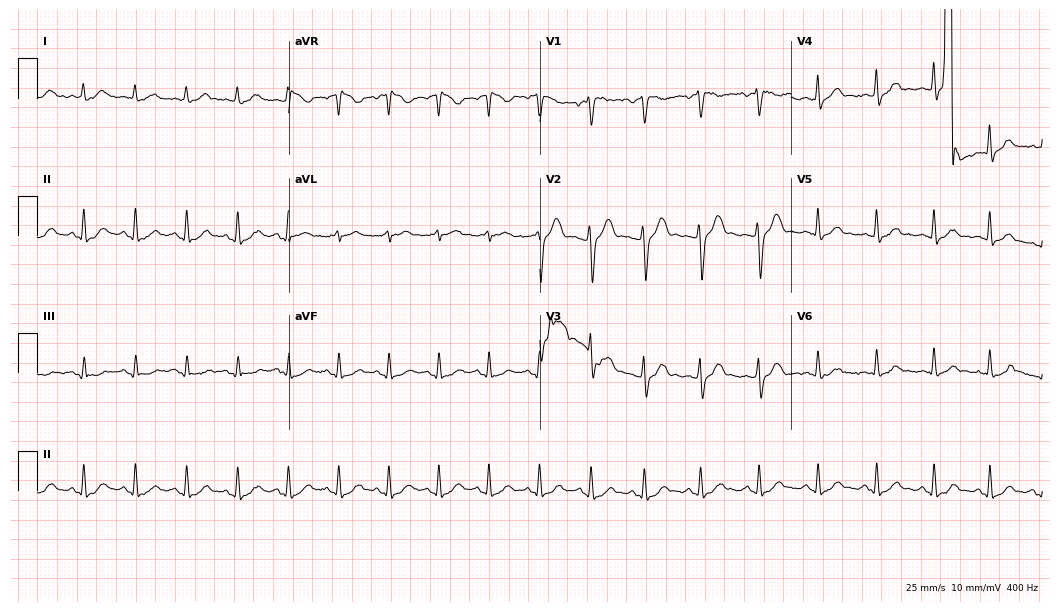
Standard 12-lead ECG recorded from a male, 38 years old. None of these six findings is recorded: first-degree AV block, right bundle branch block, left bundle branch block, sinus bradycardia, atrial fibrillation, sinus tachycardia. Findings outside these six are not listed.